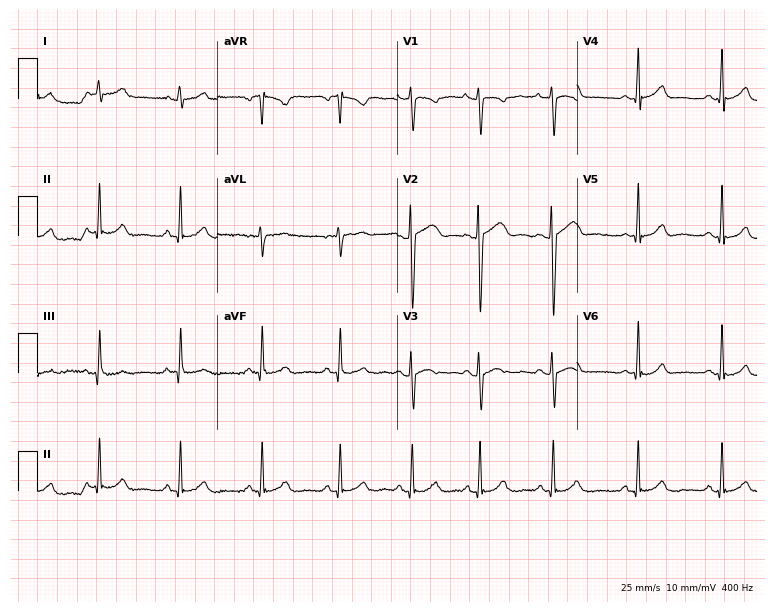
Standard 12-lead ECG recorded from a 20-year-old female patient (7.3-second recording at 400 Hz). Read as a normal ECG.